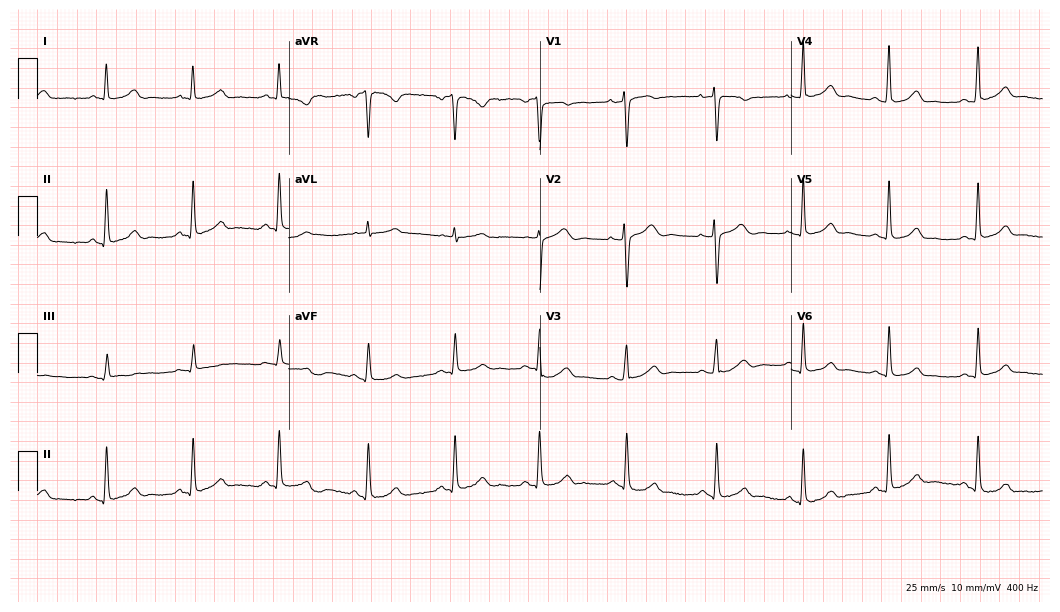
Standard 12-lead ECG recorded from a female, 56 years old (10.2-second recording at 400 Hz). Read as a normal ECG.